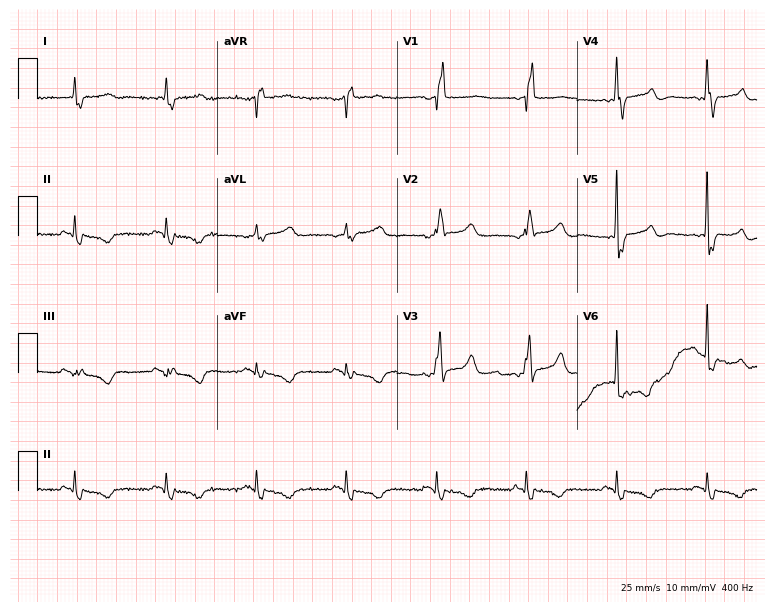
12-lead ECG (7.3-second recording at 400 Hz) from an 82-year-old man. Findings include right bundle branch block.